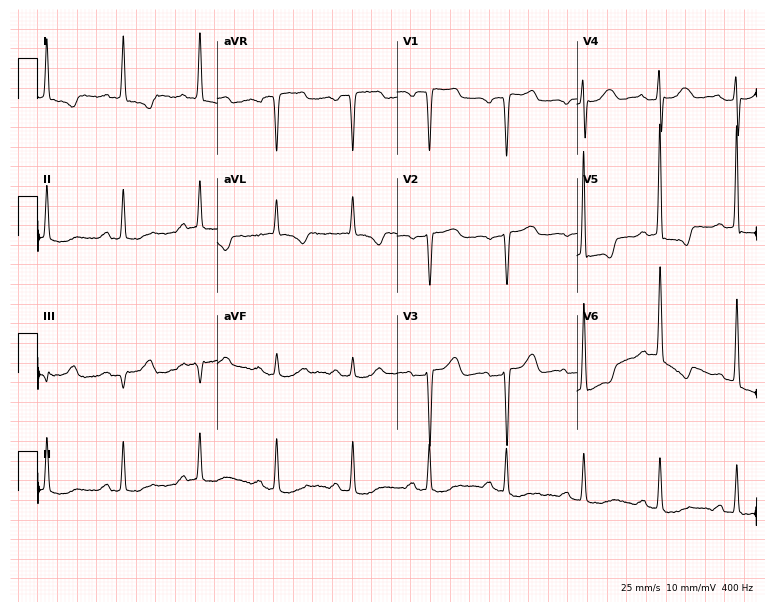
Resting 12-lead electrocardiogram (7.3-second recording at 400 Hz). Patient: an 82-year-old female. None of these six findings is recorded: first-degree AV block, right bundle branch block, left bundle branch block, sinus bradycardia, atrial fibrillation, sinus tachycardia. Findings outside these six are not listed.